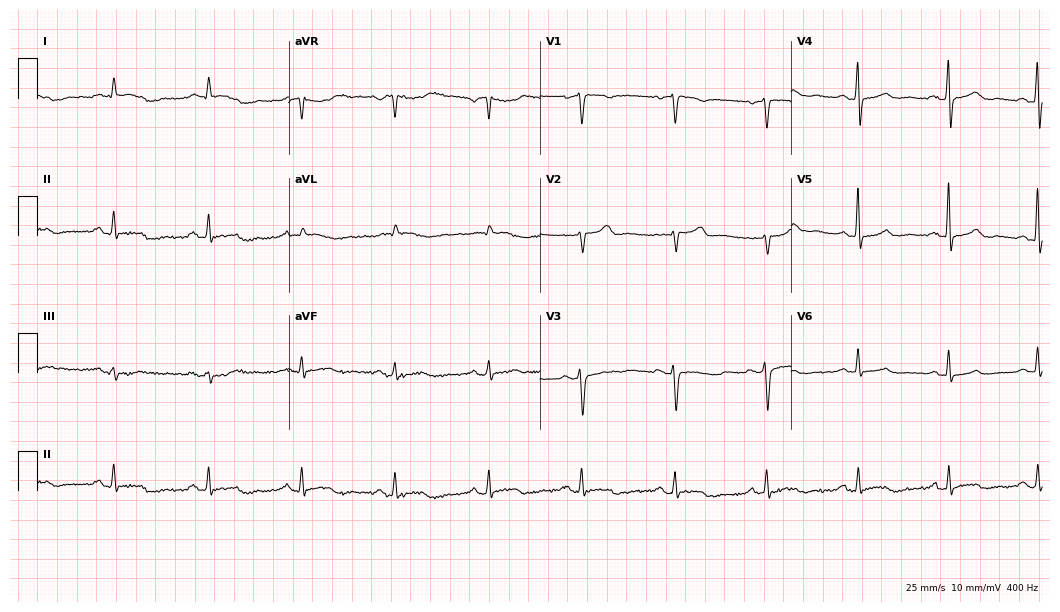
Electrocardiogram, a 51-year-old male patient. Overall reading on record: normal ECG.